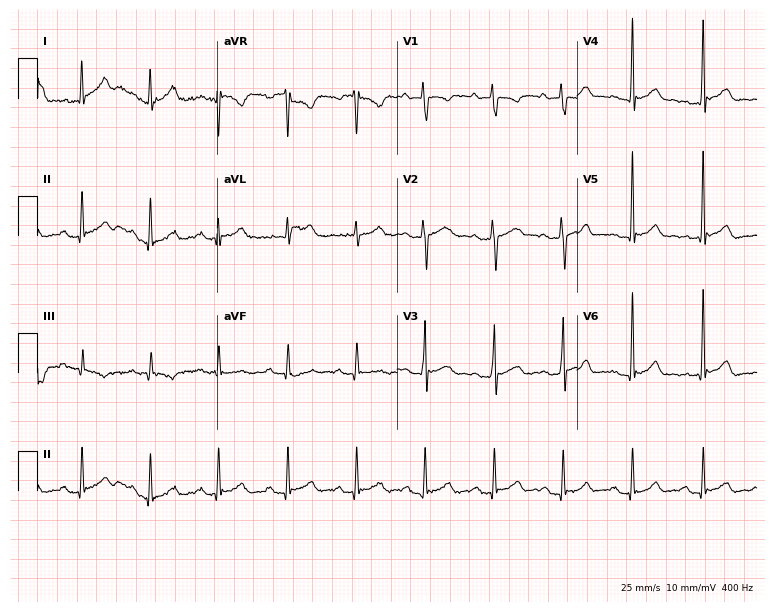
12-lead ECG from a male, 26 years old. Recorded interpretation: within normal limits.